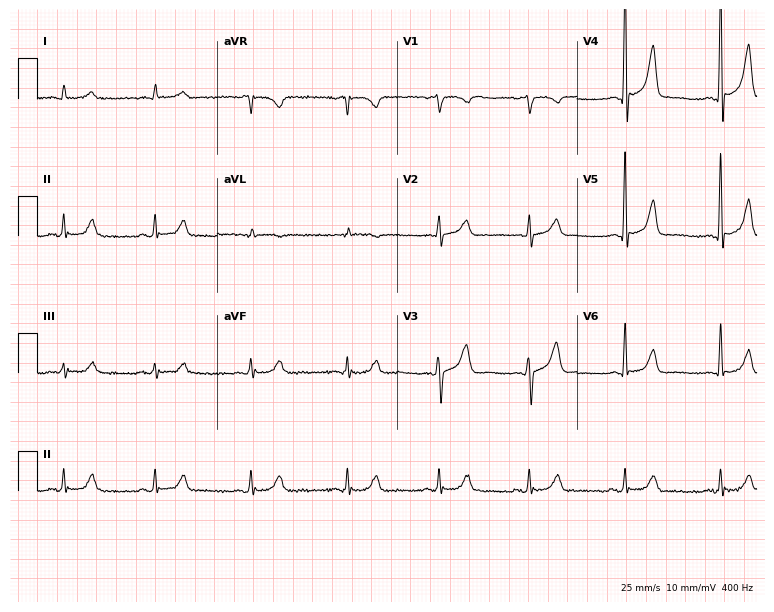
ECG (7.3-second recording at 400 Hz) — a male patient, 64 years old. Screened for six findings — first-degree AV block, right bundle branch block, left bundle branch block, sinus bradycardia, atrial fibrillation, sinus tachycardia — none is recorded.